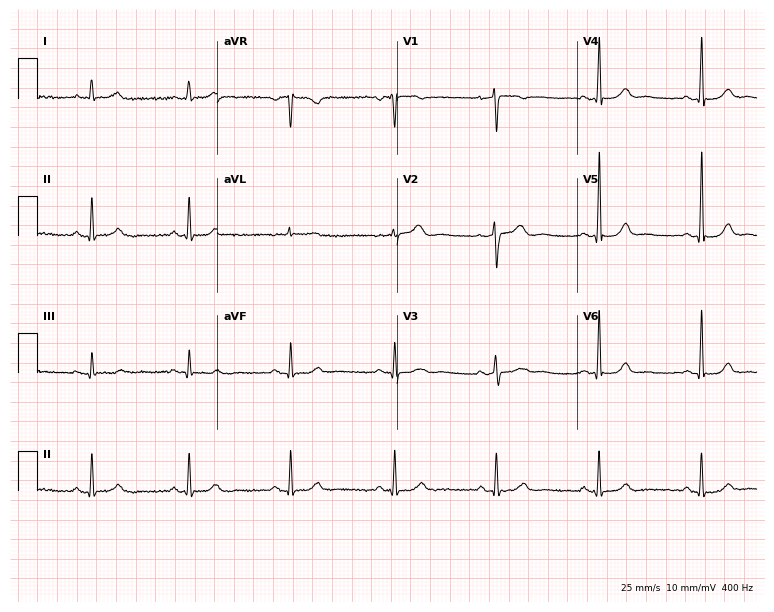
Resting 12-lead electrocardiogram. Patient: a 42-year-old woman. Read as a normal ECG.